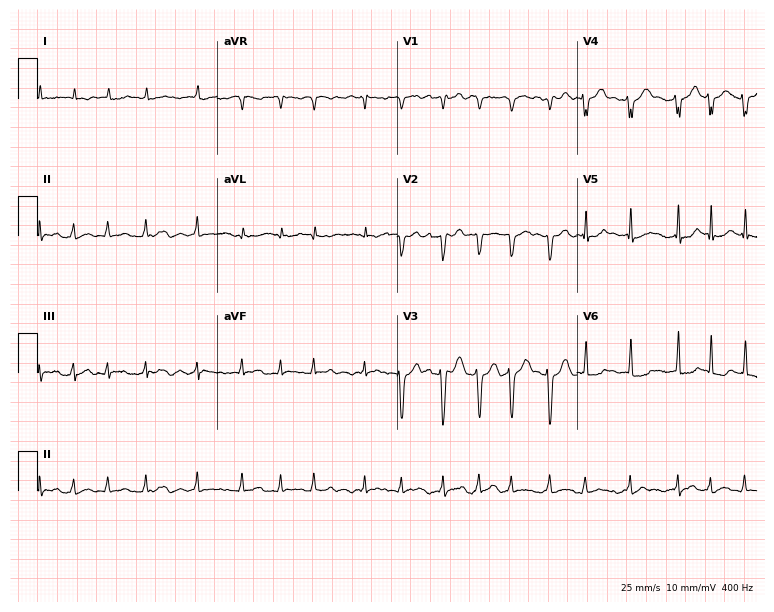
12-lead ECG from a woman, 72 years old. Shows atrial fibrillation (AF).